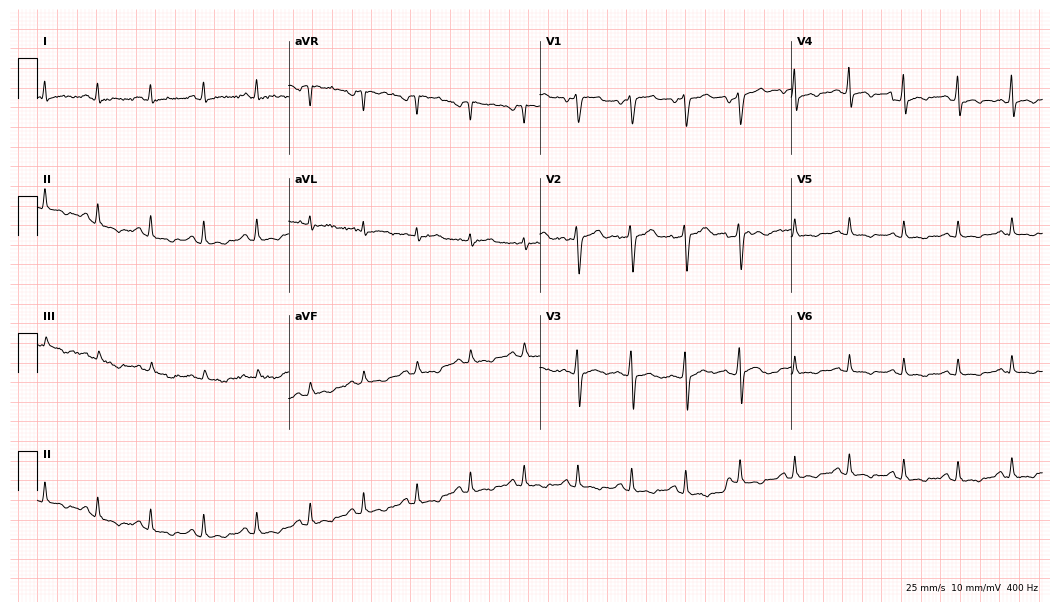
Standard 12-lead ECG recorded from a 46-year-old male patient (10.2-second recording at 400 Hz). The tracing shows sinus tachycardia (a sinus rate of 100 beats per minute or more).